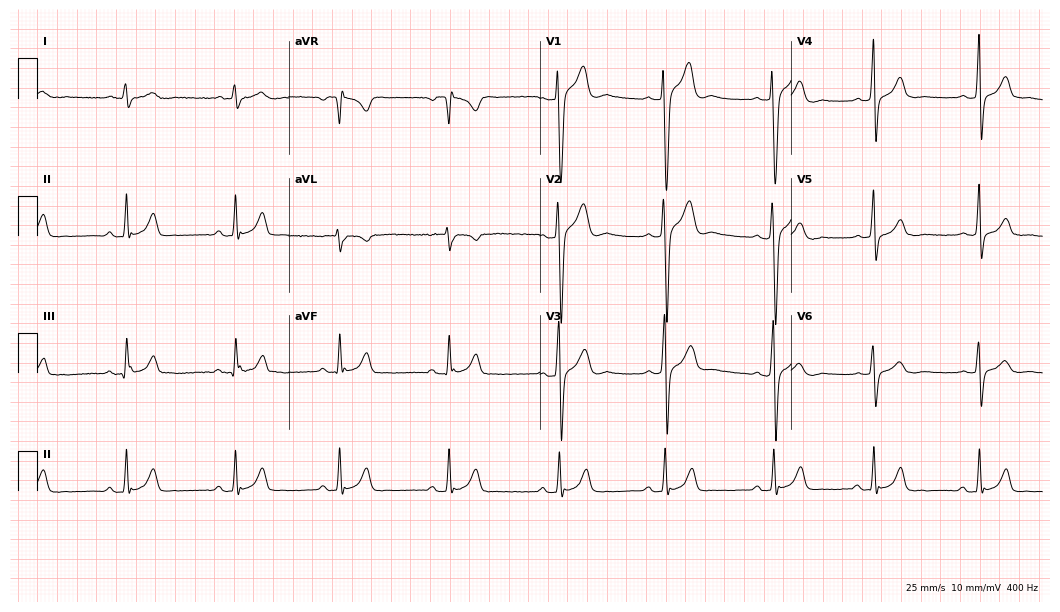
Standard 12-lead ECG recorded from a 55-year-old man (10.2-second recording at 400 Hz). None of these six findings is recorded: first-degree AV block, right bundle branch block, left bundle branch block, sinus bradycardia, atrial fibrillation, sinus tachycardia.